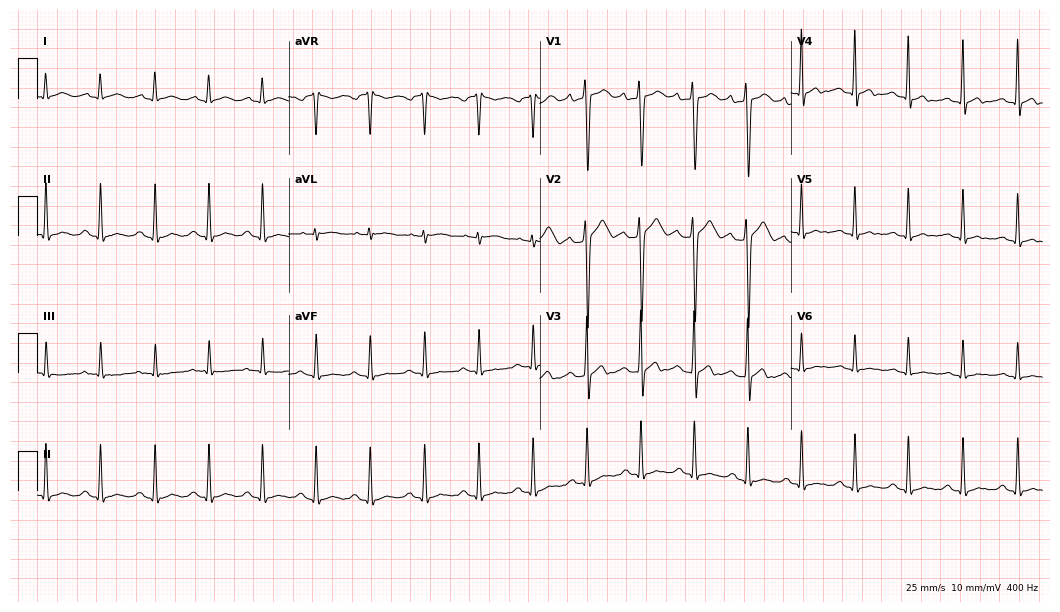
ECG — a 24-year-old male patient. Findings include sinus tachycardia (a sinus rate of 100 beats per minute or more).